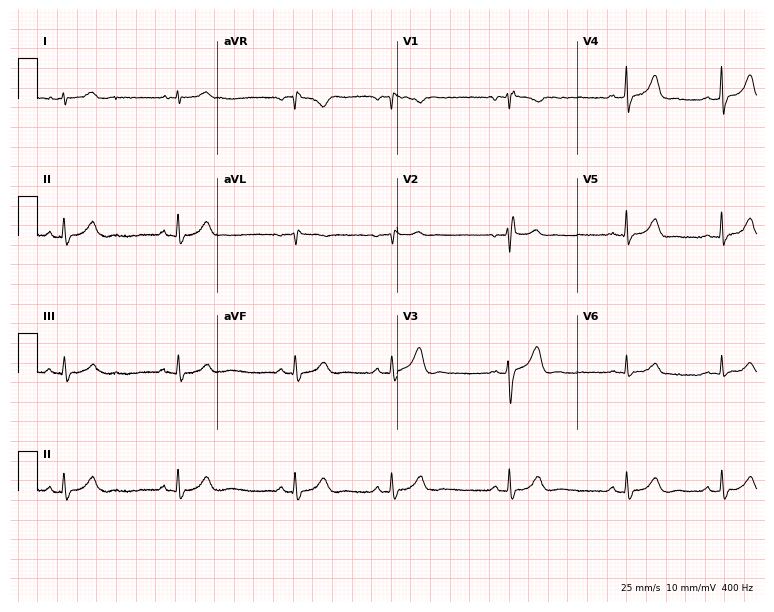
Standard 12-lead ECG recorded from a 25-year-old female patient. None of these six findings is recorded: first-degree AV block, right bundle branch block (RBBB), left bundle branch block (LBBB), sinus bradycardia, atrial fibrillation (AF), sinus tachycardia. Findings outside these six are not listed.